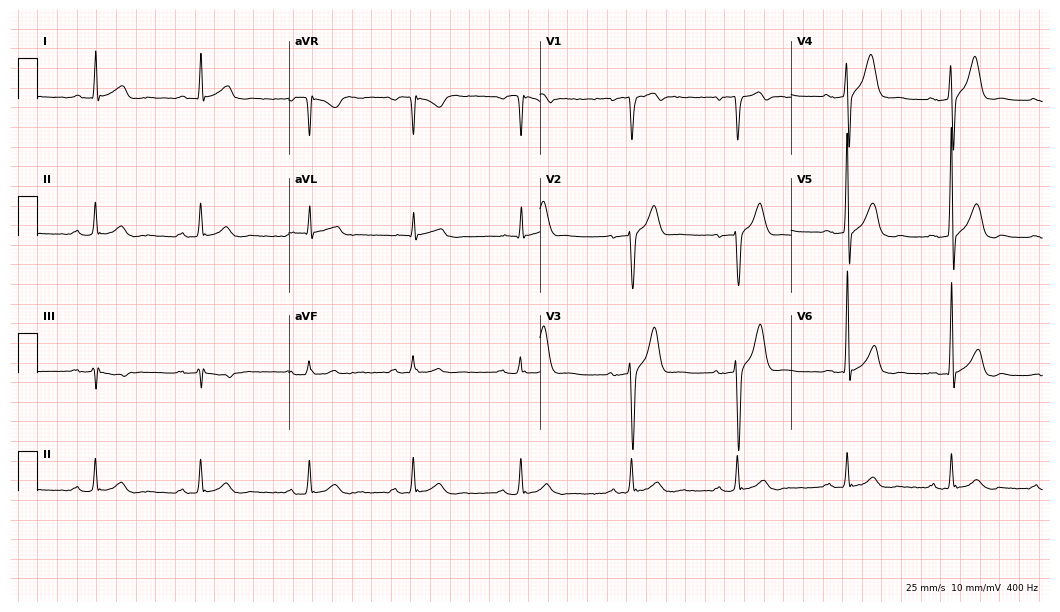
12-lead ECG from a 61-year-old male (10.2-second recording at 400 Hz). No first-degree AV block, right bundle branch block, left bundle branch block, sinus bradycardia, atrial fibrillation or sinus tachycardia recorded for this tracing.